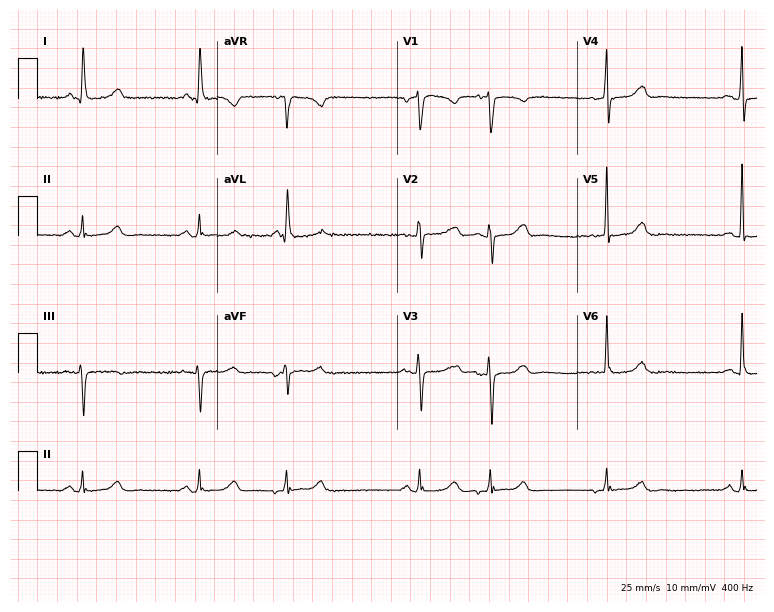
12-lead ECG (7.3-second recording at 400 Hz) from a 71-year-old female patient. Screened for six findings — first-degree AV block, right bundle branch block, left bundle branch block, sinus bradycardia, atrial fibrillation, sinus tachycardia — none is recorded.